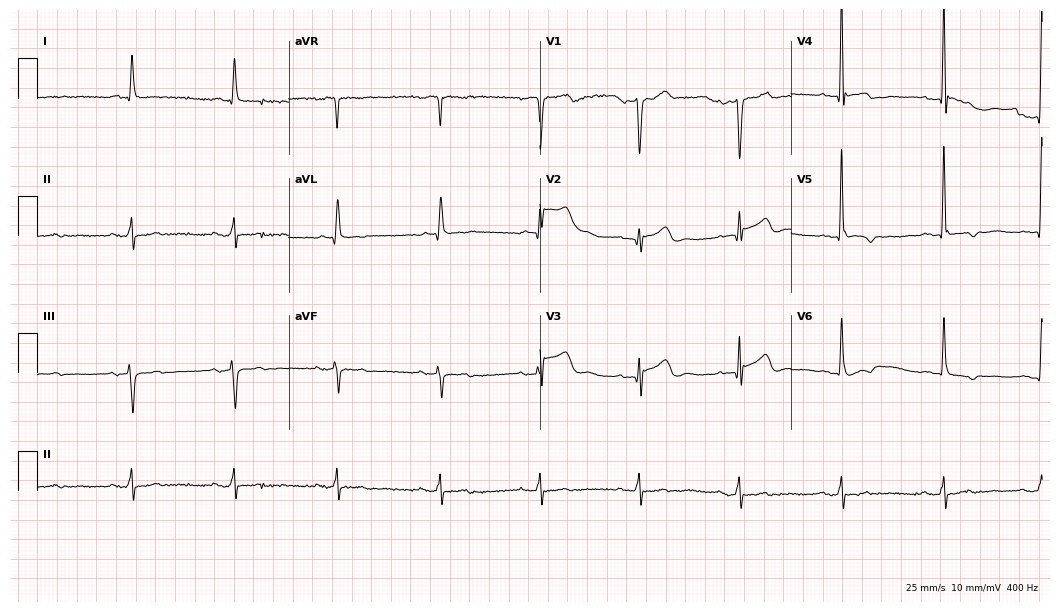
12-lead ECG from a man, 77 years old. No first-degree AV block, right bundle branch block (RBBB), left bundle branch block (LBBB), sinus bradycardia, atrial fibrillation (AF) or sinus tachycardia recorded for this tracing. Findings outside these six are not listed.